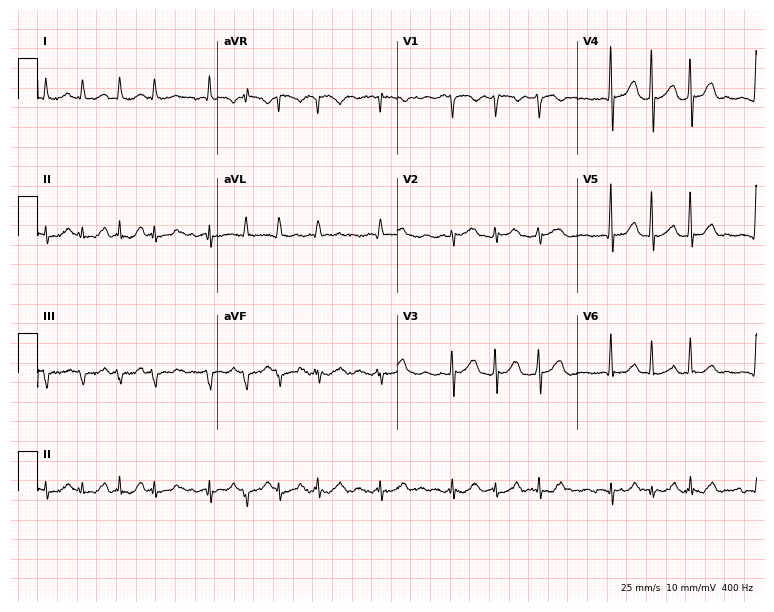
Resting 12-lead electrocardiogram. Patient: a man, 81 years old. The tracing shows atrial fibrillation.